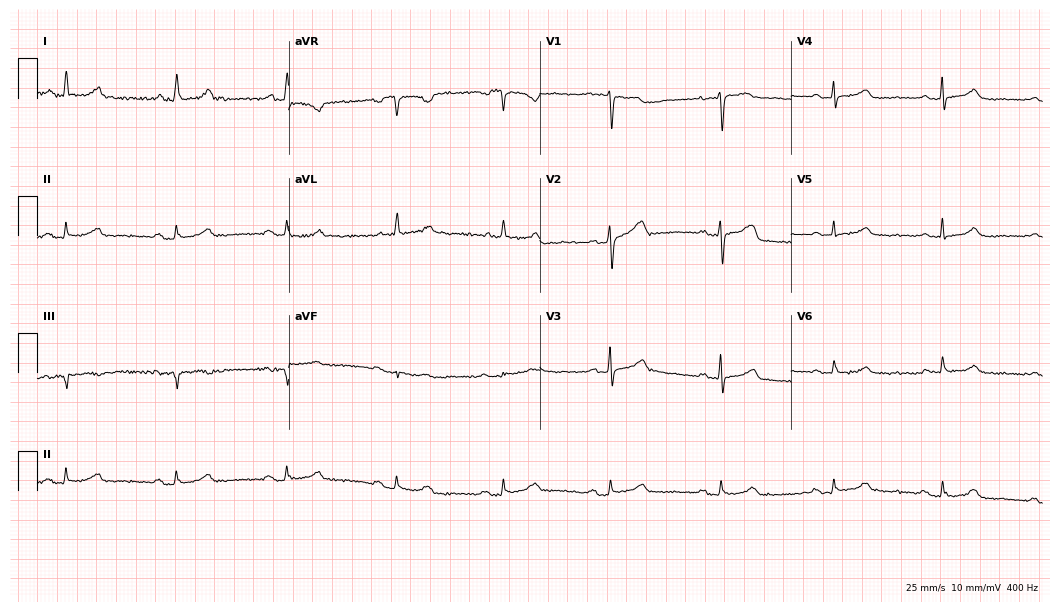
Resting 12-lead electrocardiogram. Patient: a 75-year-old female. Read as a normal ECG.